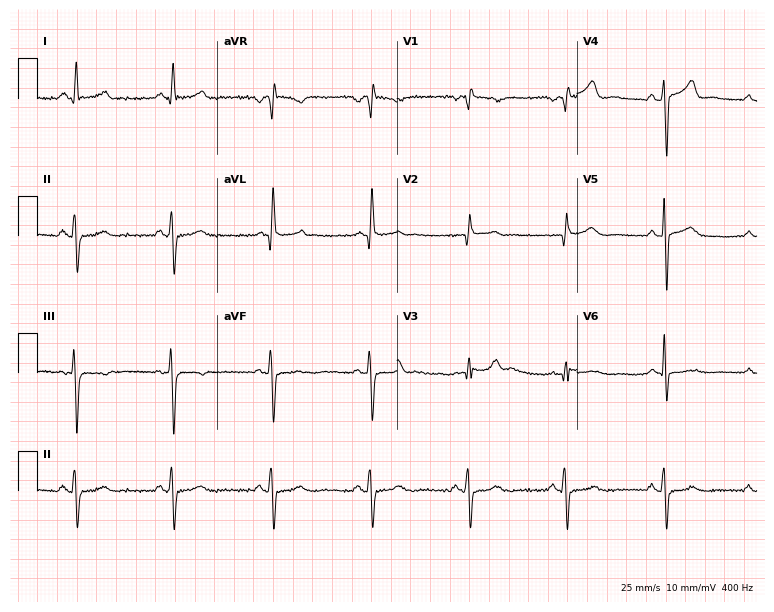
Standard 12-lead ECG recorded from a male patient, 59 years old (7.3-second recording at 400 Hz). None of these six findings is recorded: first-degree AV block, right bundle branch block (RBBB), left bundle branch block (LBBB), sinus bradycardia, atrial fibrillation (AF), sinus tachycardia.